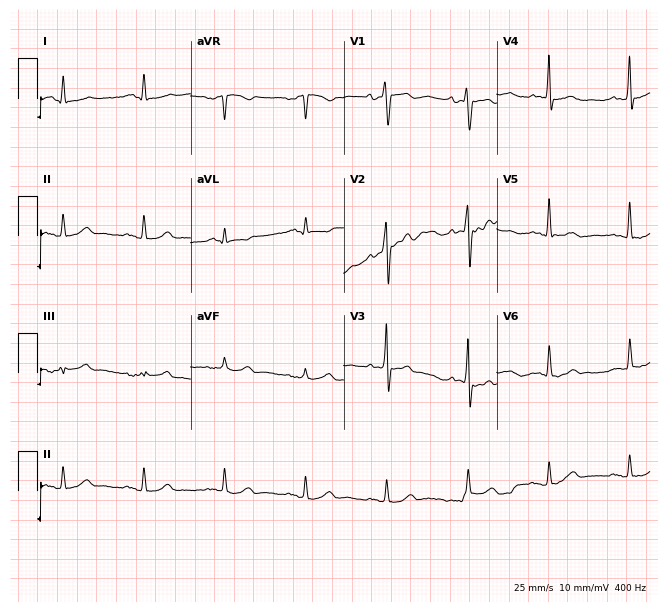
12-lead ECG from a male patient, 58 years old. Screened for six findings — first-degree AV block, right bundle branch block, left bundle branch block, sinus bradycardia, atrial fibrillation, sinus tachycardia — none is recorded.